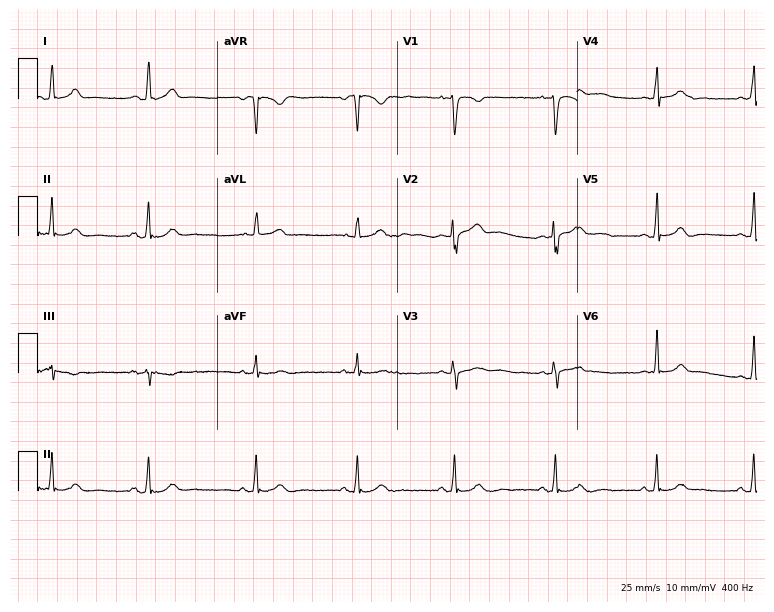
Standard 12-lead ECG recorded from a 21-year-old female patient (7.3-second recording at 400 Hz). Read as a normal ECG.